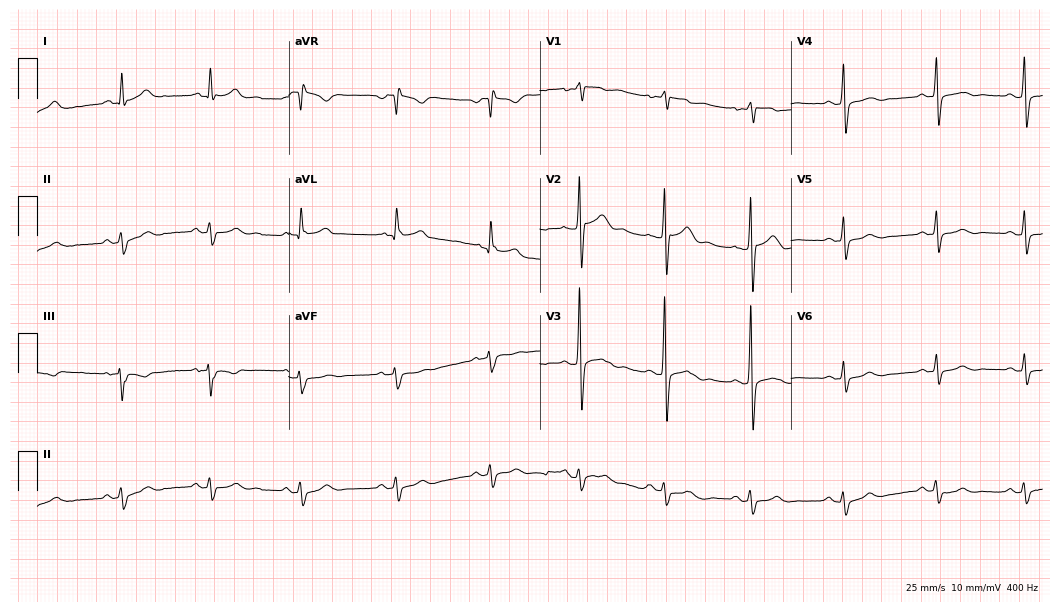
ECG — a man, 40 years old. Screened for six findings — first-degree AV block, right bundle branch block, left bundle branch block, sinus bradycardia, atrial fibrillation, sinus tachycardia — none is recorded.